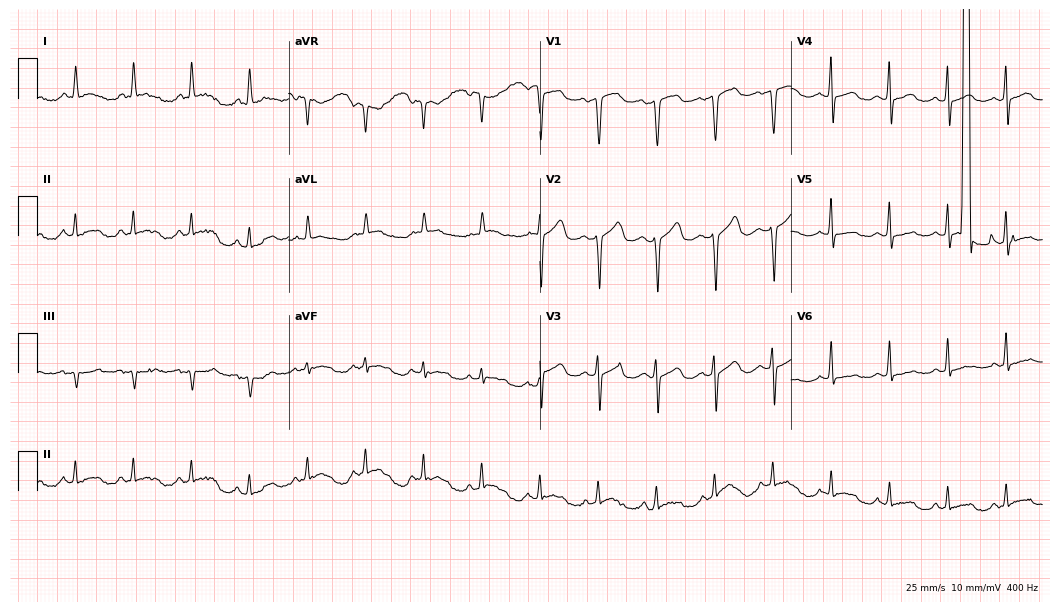
12-lead ECG from a woman, 68 years old. No first-degree AV block, right bundle branch block, left bundle branch block, sinus bradycardia, atrial fibrillation or sinus tachycardia recorded for this tracing. Only these six findings were labelled.